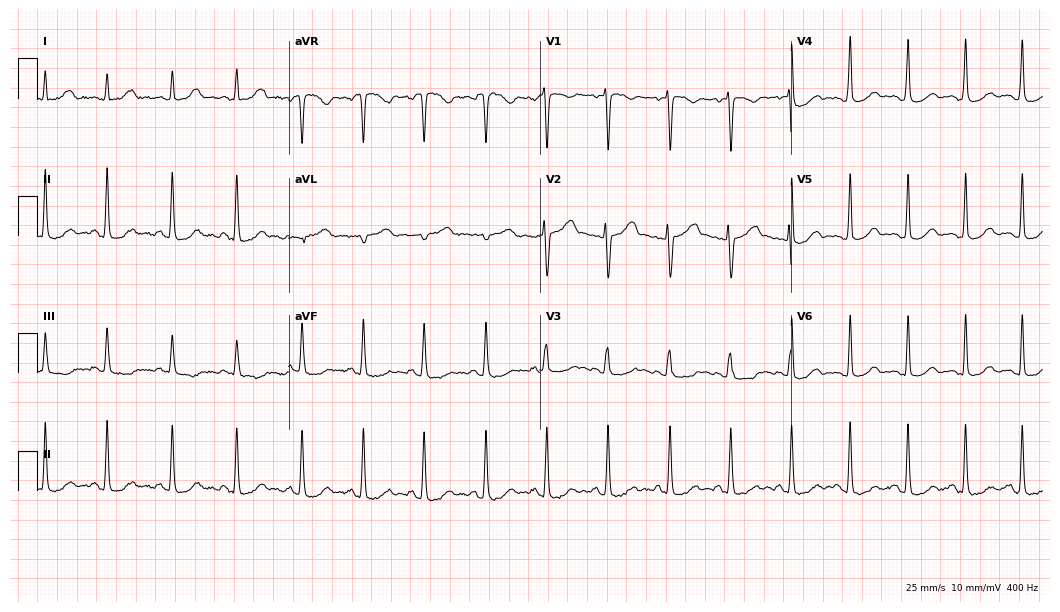
ECG (10.2-second recording at 400 Hz) — a woman, 17 years old. Labelled as a normal ECG.